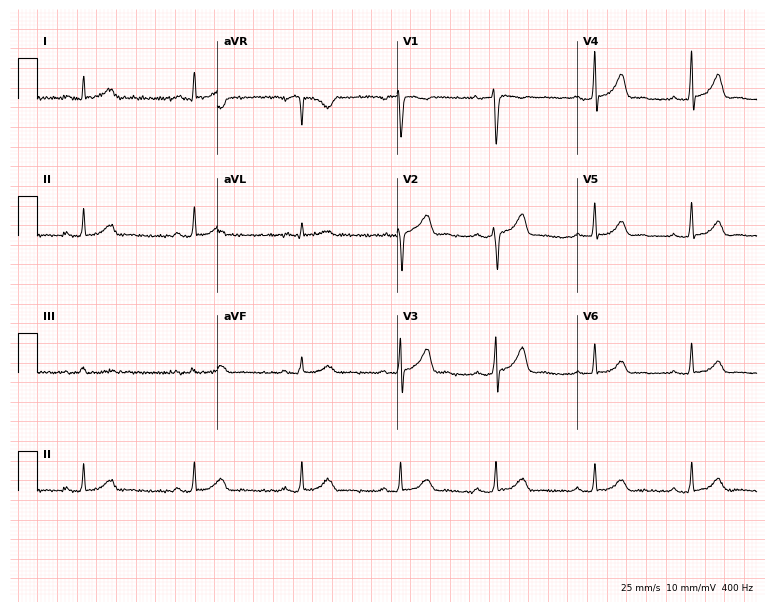
ECG (7.3-second recording at 400 Hz) — a woman, 34 years old. Screened for six findings — first-degree AV block, right bundle branch block, left bundle branch block, sinus bradycardia, atrial fibrillation, sinus tachycardia — none is recorded. Other findings, if any, are not listed.